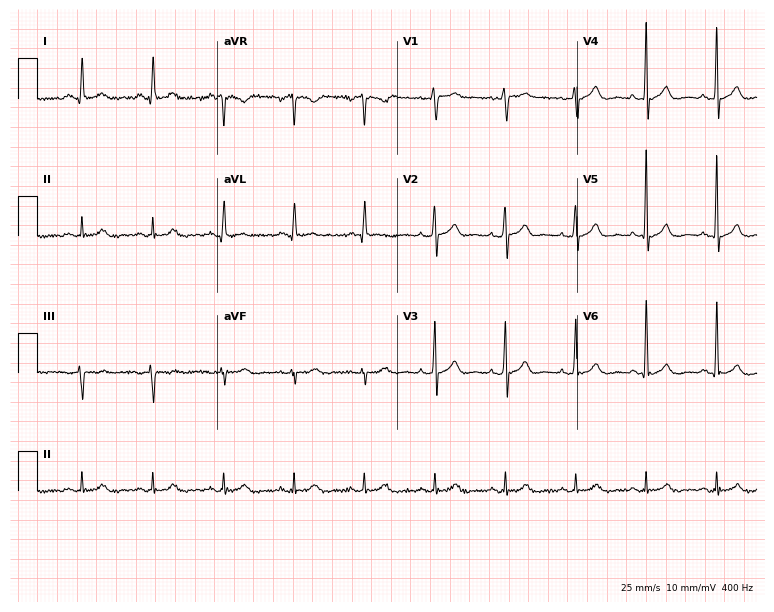
Standard 12-lead ECG recorded from a man, 59 years old (7.3-second recording at 400 Hz). None of these six findings is recorded: first-degree AV block, right bundle branch block, left bundle branch block, sinus bradycardia, atrial fibrillation, sinus tachycardia.